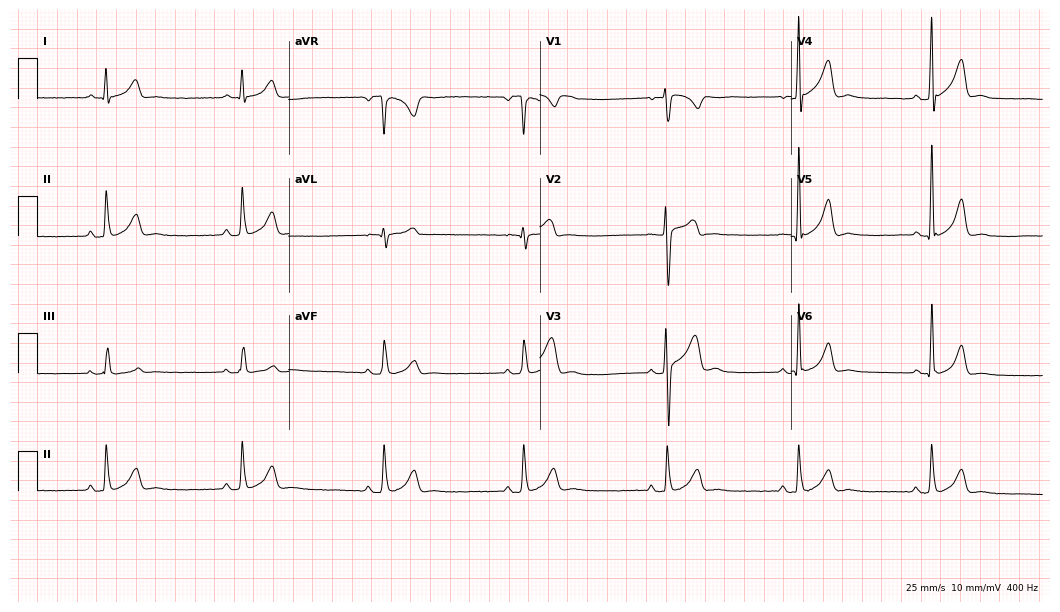
Standard 12-lead ECG recorded from a male, 43 years old. The tracing shows sinus bradycardia (a sinus rate of 50 beats per minute or less).